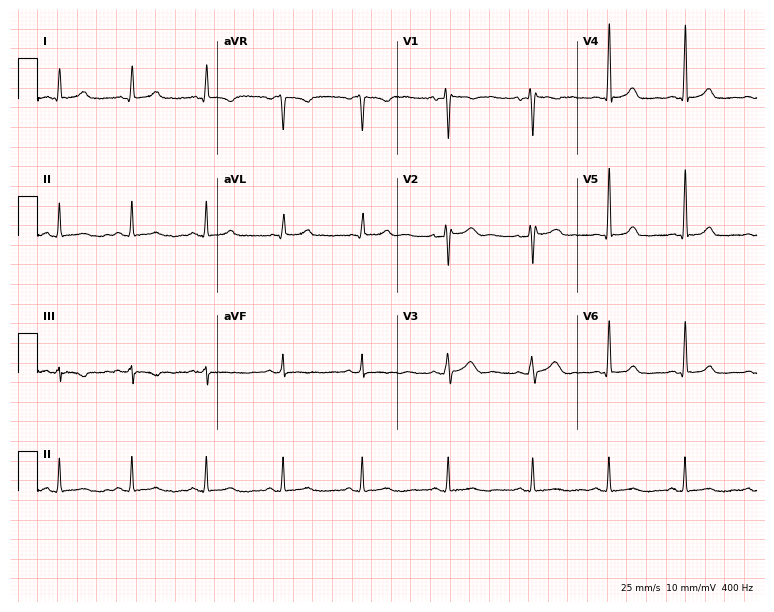
12-lead ECG from a 43-year-old female. Recorded interpretation: within normal limits.